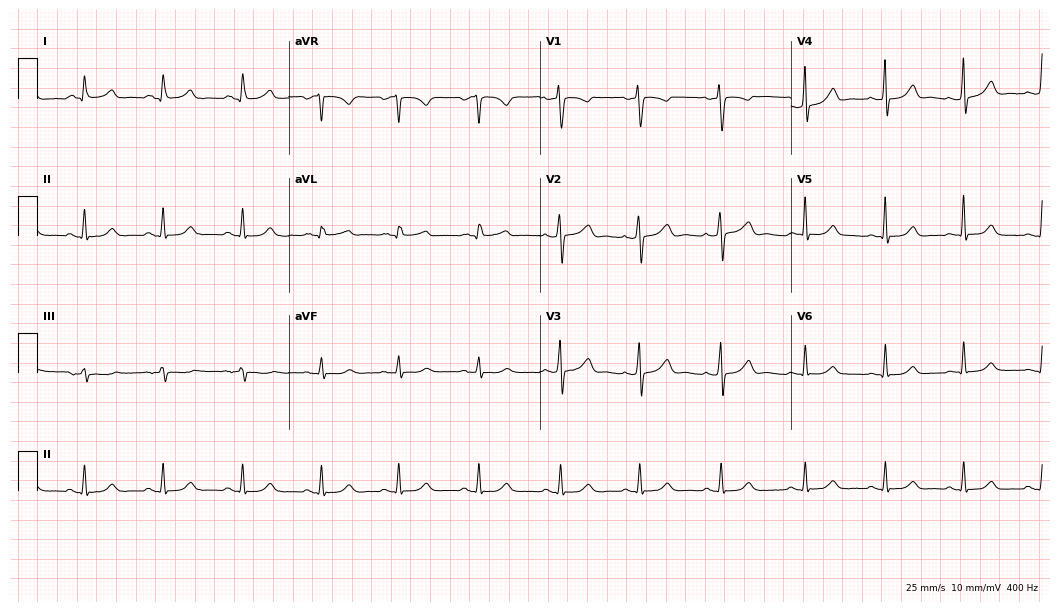
12-lead ECG (10.2-second recording at 400 Hz) from a female patient, 39 years old. Labelled as a normal ECG.